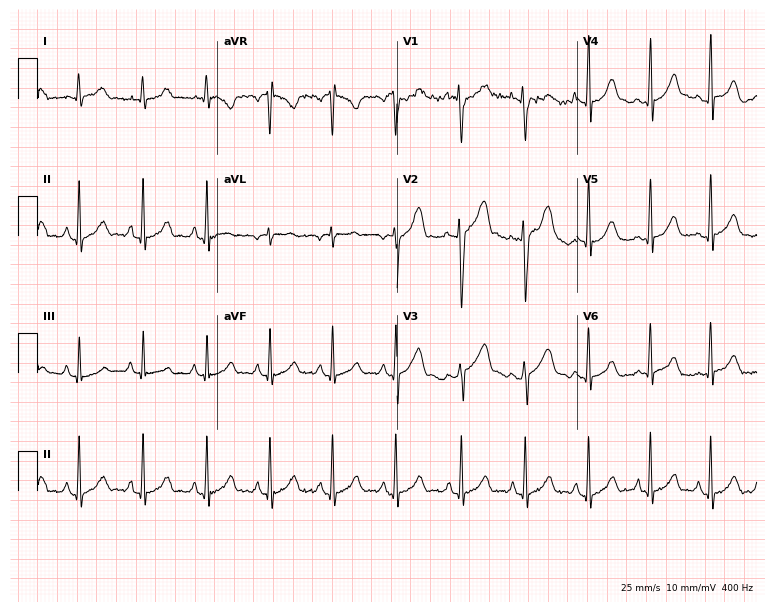
Standard 12-lead ECG recorded from a male patient, 20 years old. Read as a normal ECG.